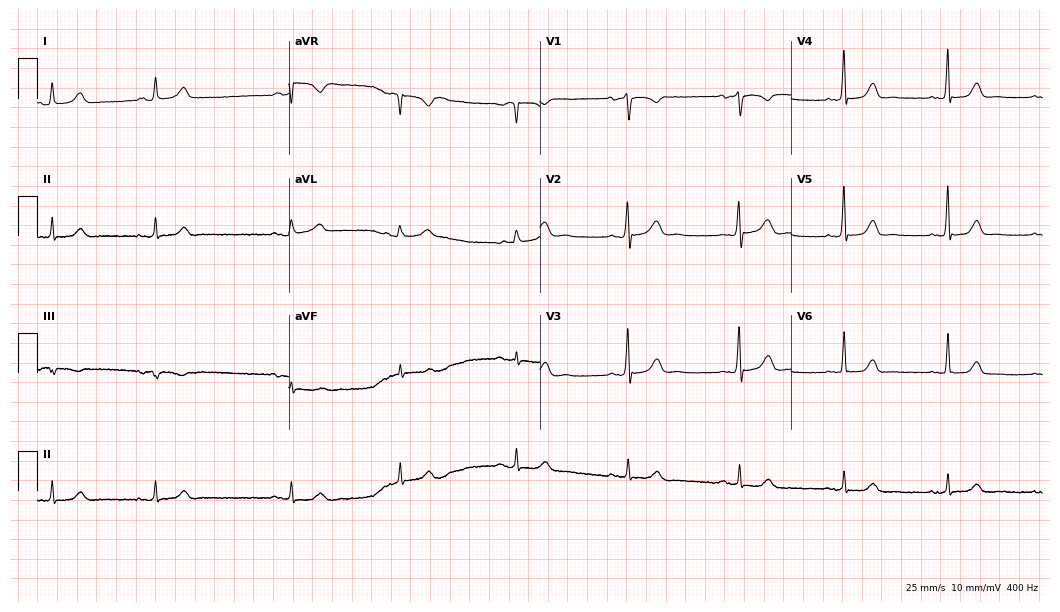
12-lead ECG from a woman, 66 years old. Labelled as a normal ECG.